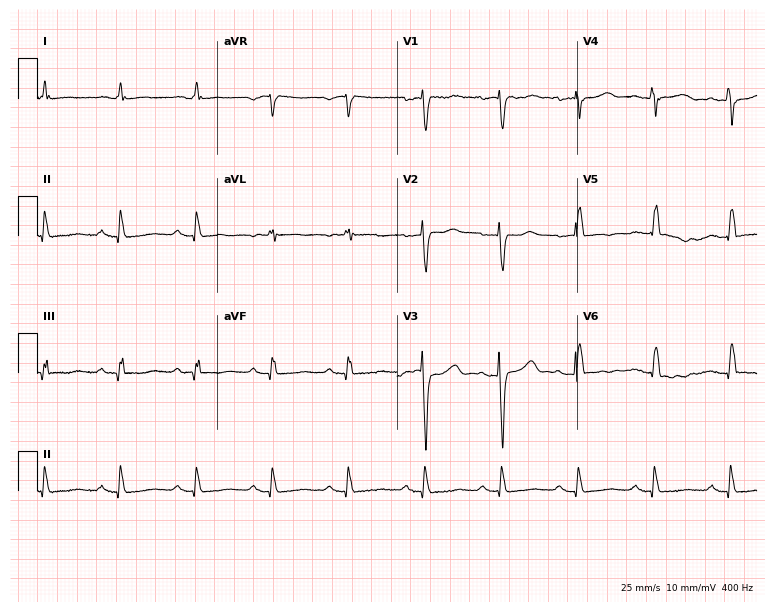
Electrocardiogram, a man, 78 years old. Interpretation includes first-degree AV block.